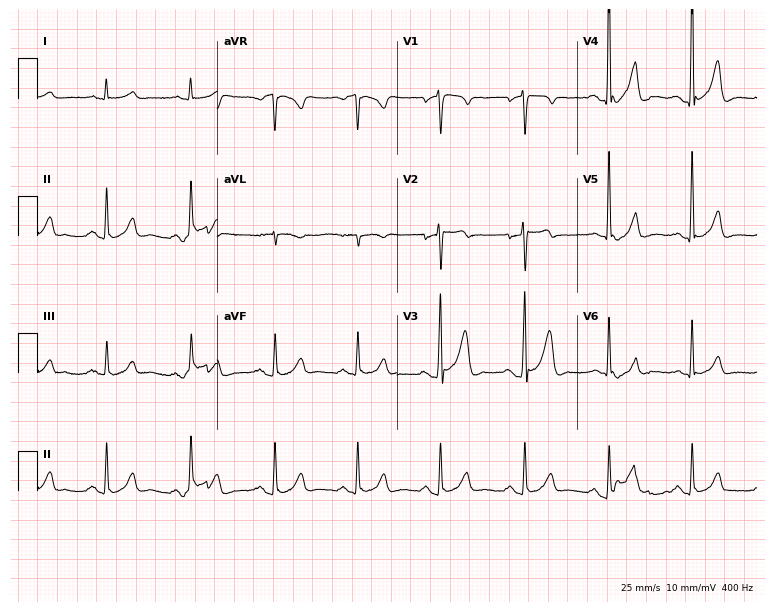
12-lead ECG (7.3-second recording at 400 Hz) from a man, 67 years old. Screened for six findings — first-degree AV block, right bundle branch block (RBBB), left bundle branch block (LBBB), sinus bradycardia, atrial fibrillation (AF), sinus tachycardia — none is recorded.